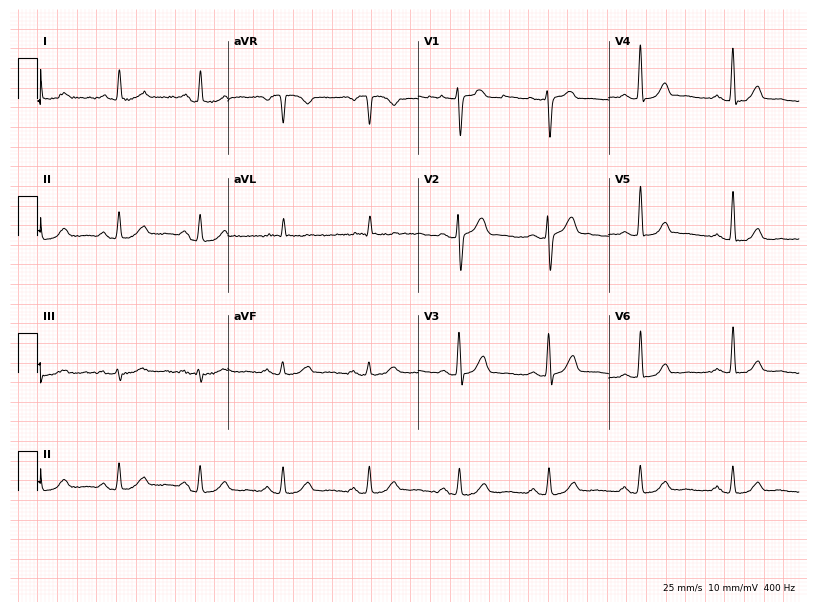
Resting 12-lead electrocardiogram (7.8-second recording at 400 Hz). Patient: a 60-year-old male. None of these six findings is recorded: first-degree AV block, right bundle branch block, left bundle branch block, sinus bradycardia, atrial fibrillation, sinus tachycardia. Findings outside these six are not listed.